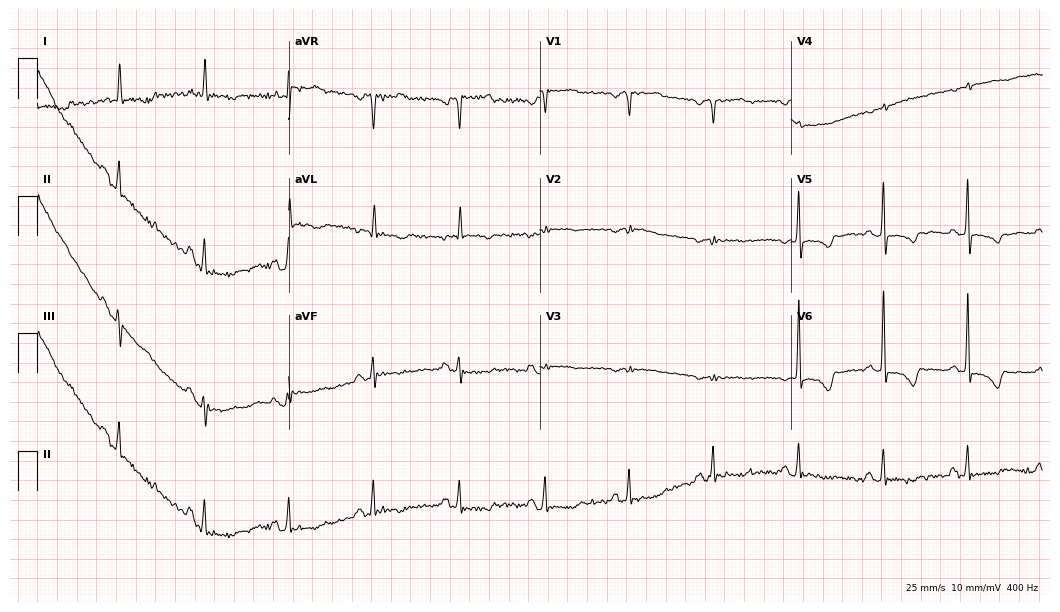
Standard 12-lead ECG recorded from a female, 74 years old (10.2-second recording at 400 Hz). None of these six findings is recorded: first-degree AV block, right bundle branch block, left bundle branch block, sinus bradycardia, atrial fibrillation, sinus tachycardia. Other findings, if any, are not listed.